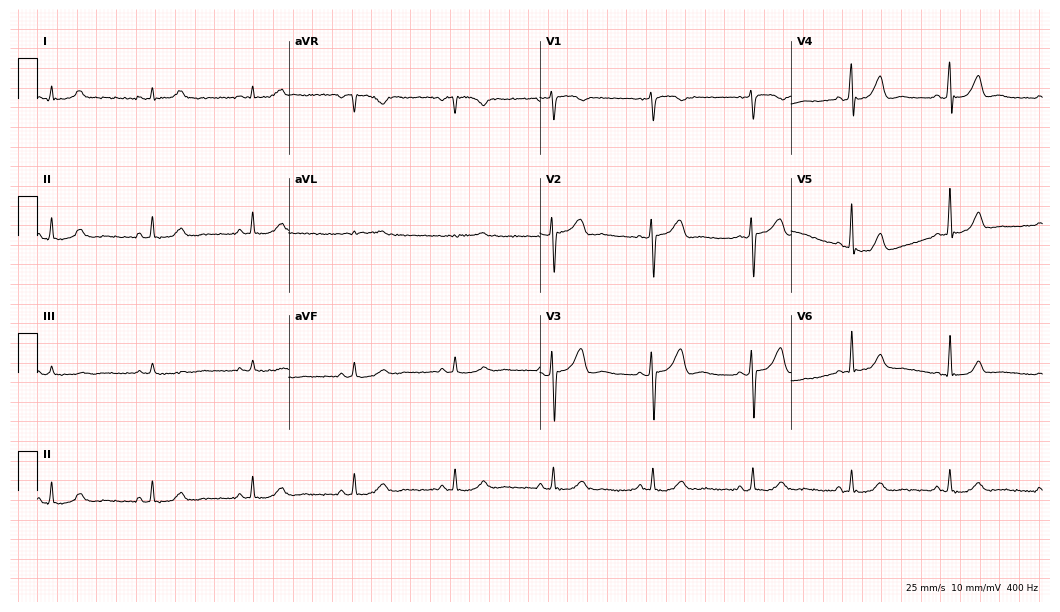
Resting 12-lead electrocardiogram (10.2-second recording at 400 Hz). Patient: a 60-year-old man. None of these six findings is recorded: first-degree AV block, right bundle branch block, left bundle branch block, sinus bradycardia, atrial fibrillation, sinus tachycardia. Other findings, if any, are not listed.